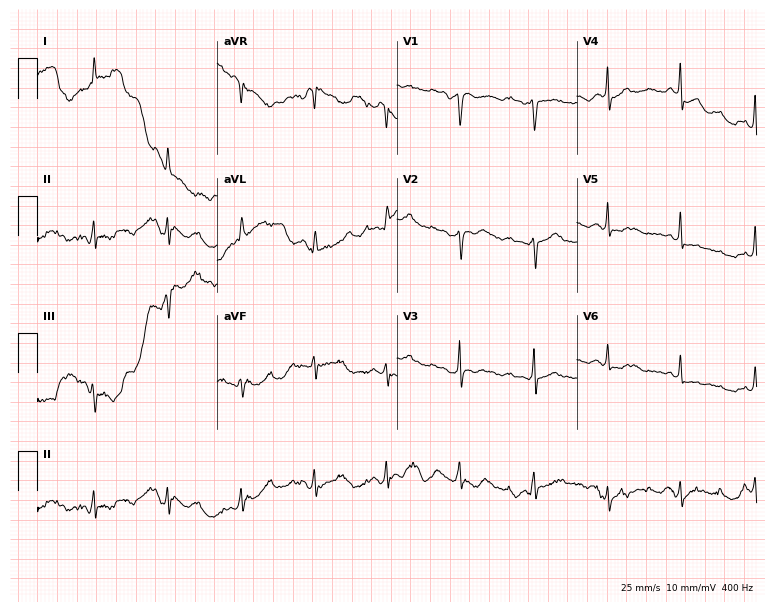
12-lead ECG (7.3-second recording at 400 Hz) from a female, 71 years old. Screened for six findings — first-degree AV block, right bundle branch block (RBBB), left bundle branch block (LBBB), sinus bradycardia, atrial fibrillation (AF), sinus tachycardia — none is recorded. Other findings, if any, are not listed.